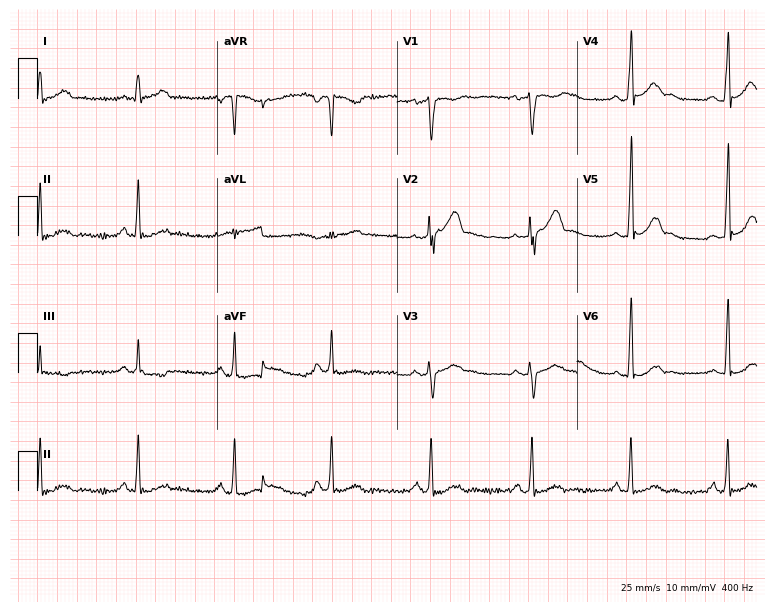
12-lead ECG from a man, 43 years old. No first-degree AV block, right bundle branch block, left bundle branch block, sinus bradycardia, atrial fibrillation or sinus tachycardia recorded for this tracing.